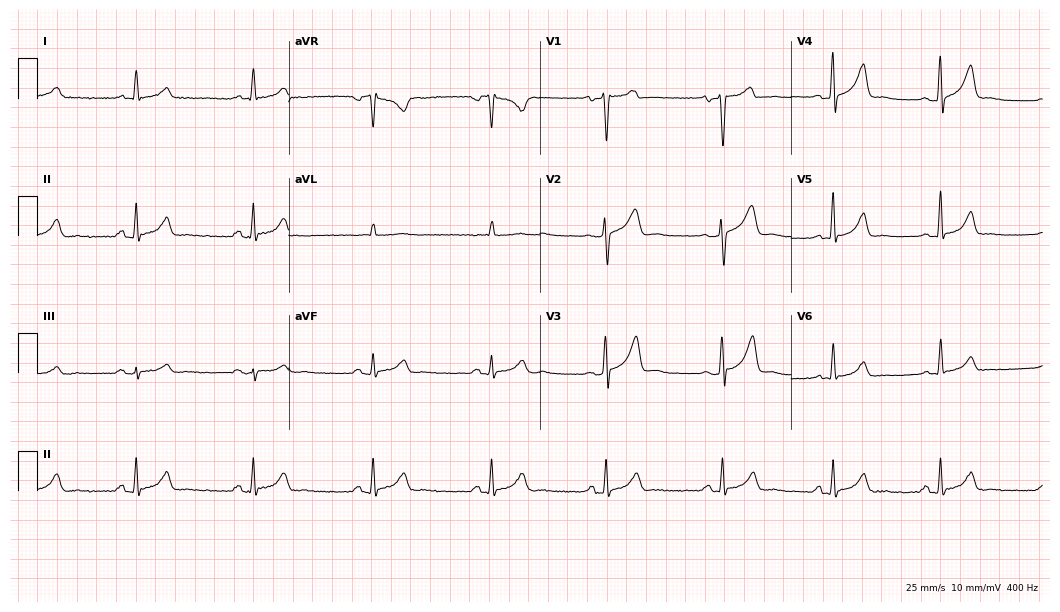
12-lead ECG from a male, 31 years old (10.2-second recording at 400 Hz). No first-degree AV block, right bundle branch block, left bundle branch block, sinus bradycardia, atrial fibrillation or sinus tachycardia recorded for this tracing. Findings outside these six are not listed.